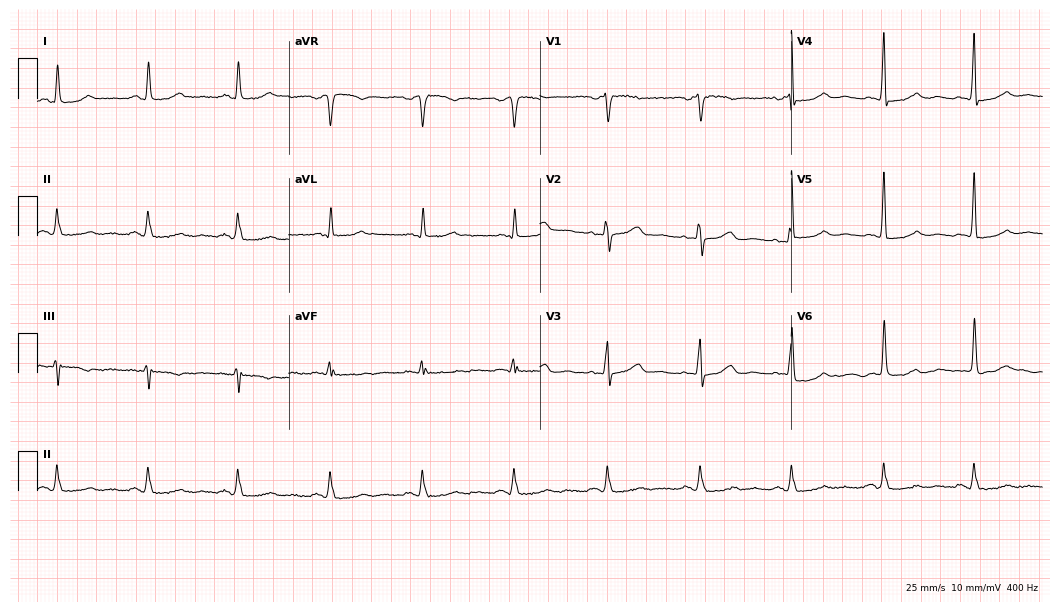
Electrocardiogram (10.2-second recording at 400 Hz), a 58-year-old woman. Of the six screened findings (first-degree AV block, right bundle branch block, left bundle branch block, sinus bradycardia, atrial fibrillation, sinus tachycardia), none is recorded.